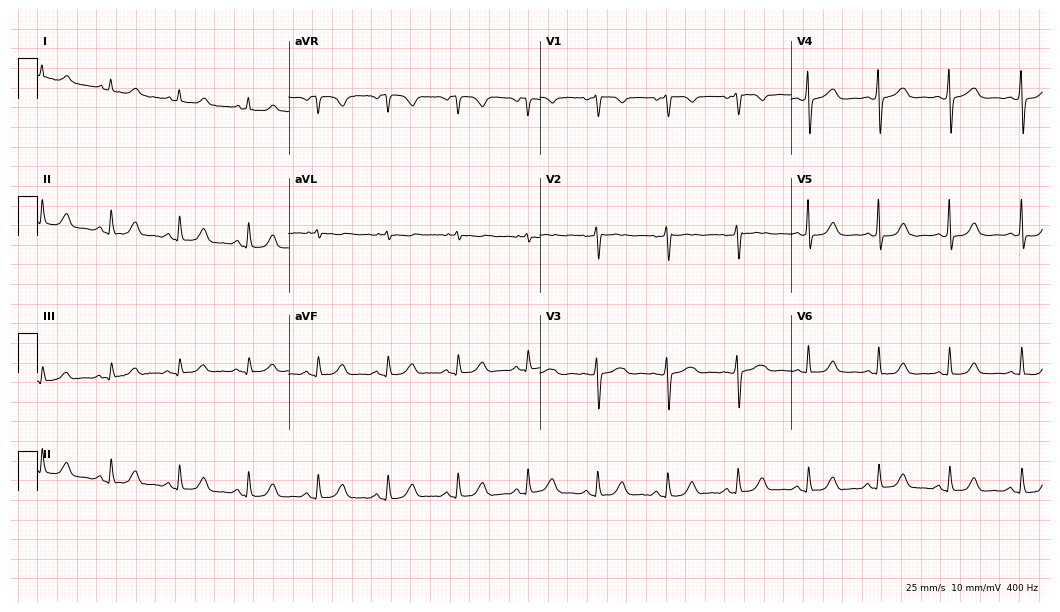
ECG (10.2-second recording at 400 Hz) — a female, 45 years old. Labelled as a normal ECG.